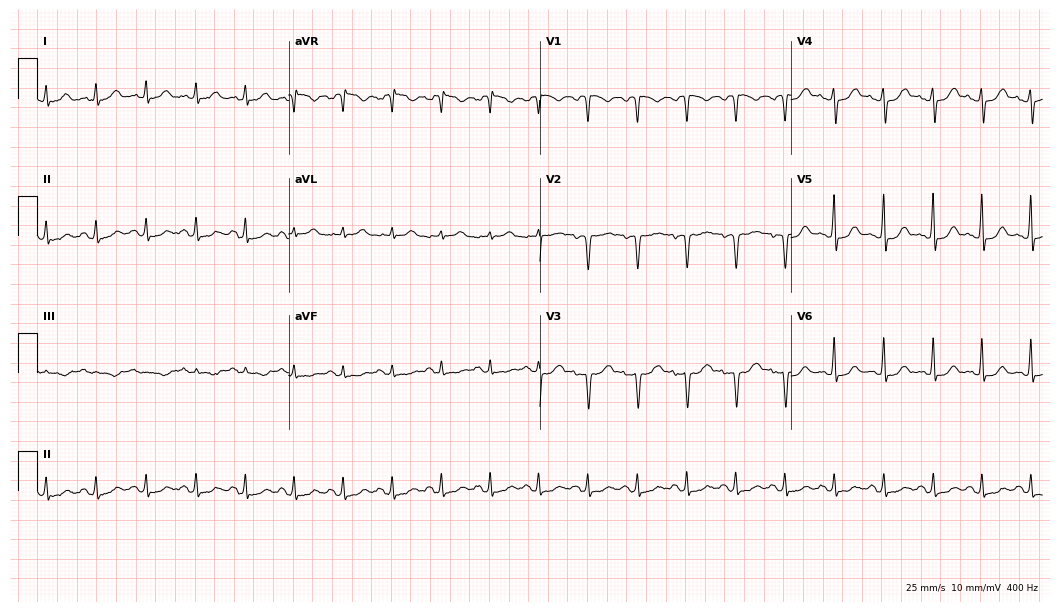
ECG — a 36-year-old female patient. Findings include sinus tachycardia (a sinus rate of 100 beats per minute or more).